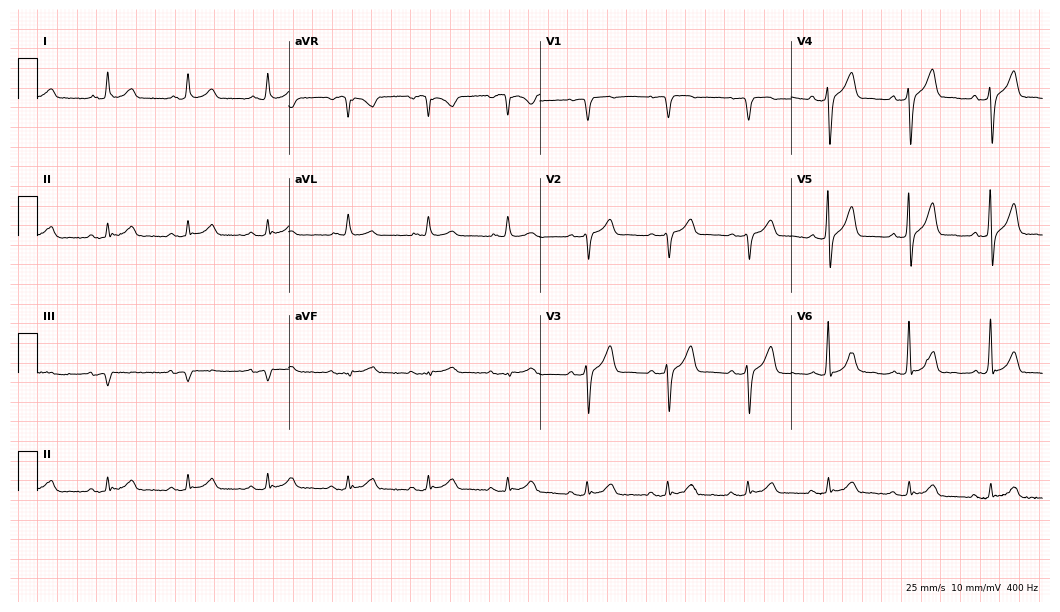
12-lead ECG from a 74-year-old male patient. Labelled as a normal ECG.